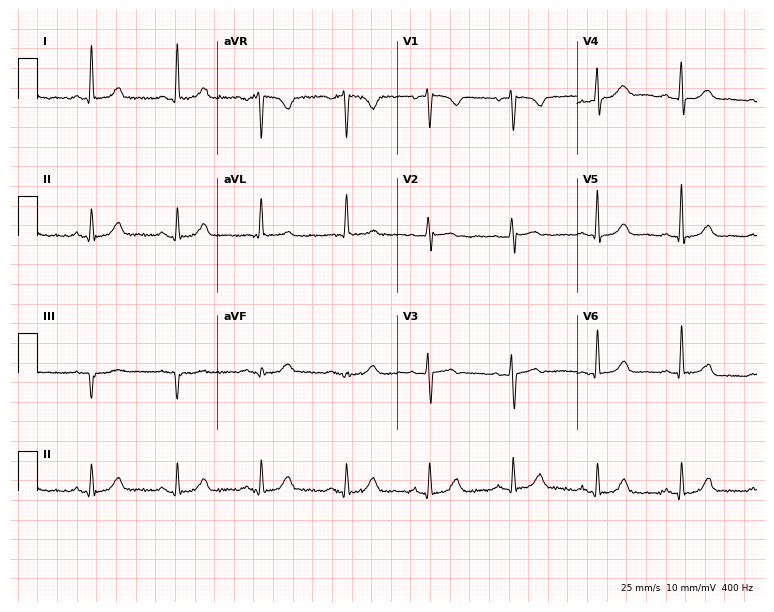
Resting 12-lead electrocardiogram (7.3-second recording at 400 Hz). Patient: a 62-year-old female. Read as a normal ECG.